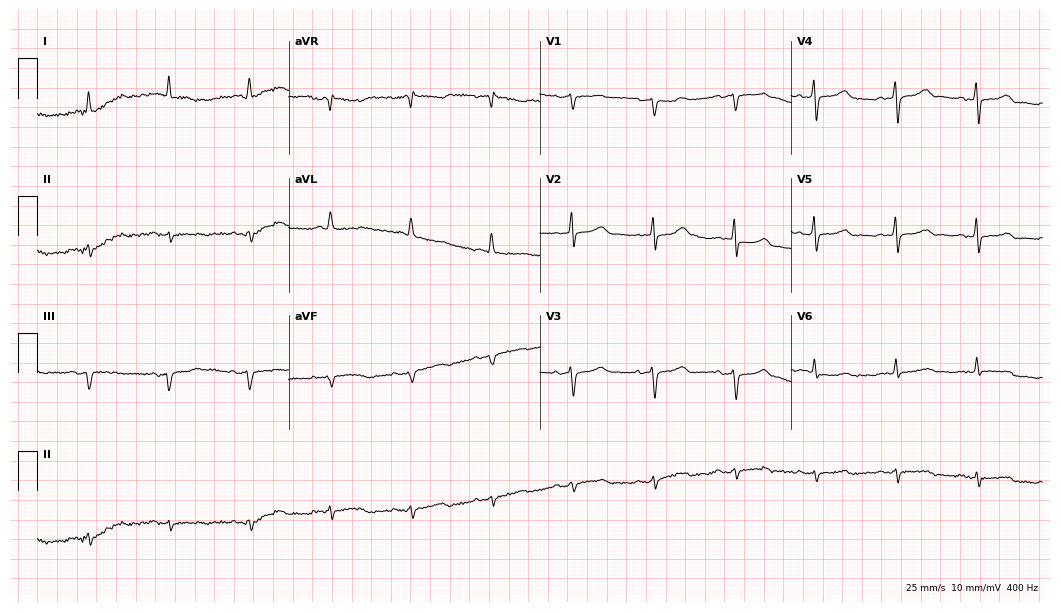
Standard 12-lead ECG recorded from a 77-year-old female. None of these six findings is recorded: first-degree AV block, right bundle branch block (RBBB), left bundle branch block (LBBB), sinus bradycardia, atrial fibrillation (AF), sinus tachycardia. Other findings, if any, are not listed.